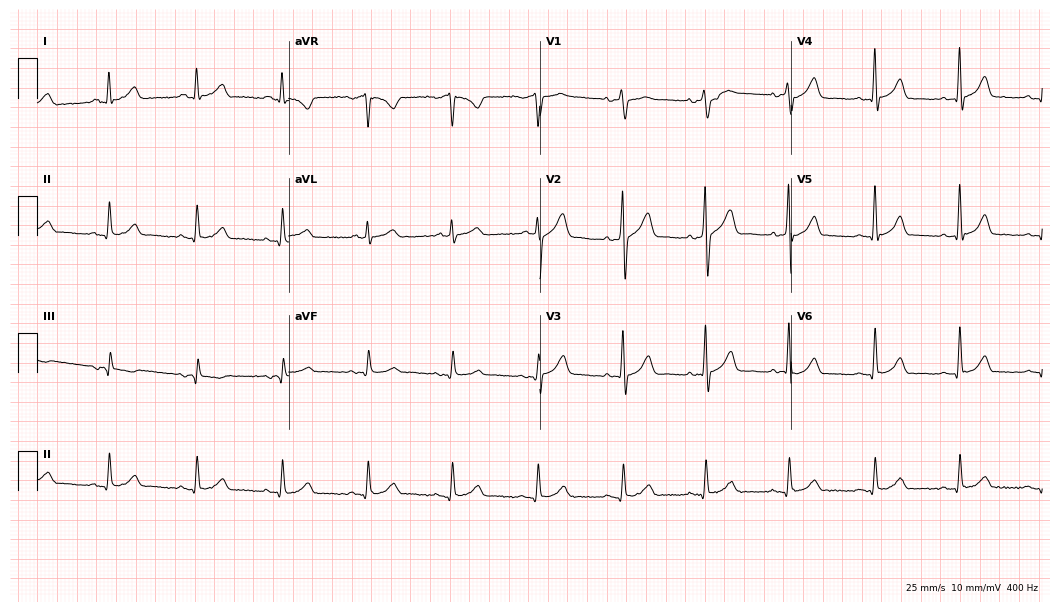
Standard 12-lead ECG recorded from a 52-year-old male (10.2-second recording at 400 Hz). Read as a normal ECG.